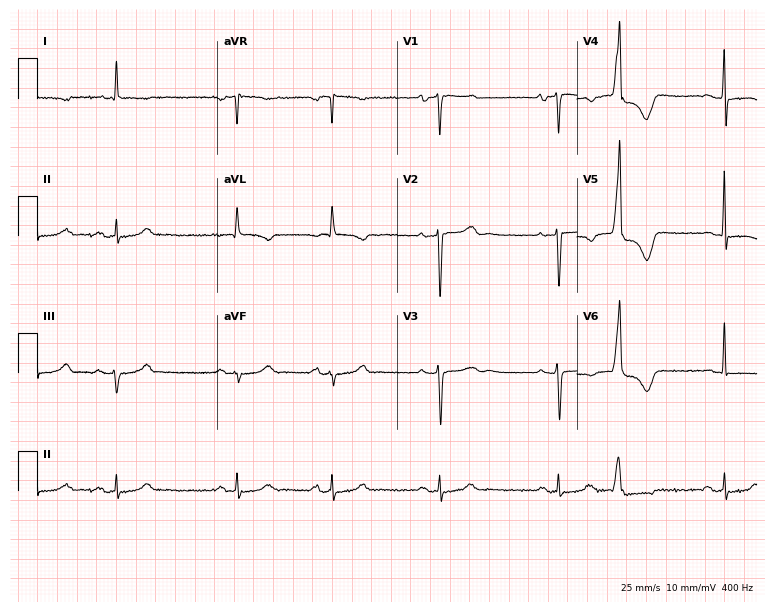
Resting 12-lead electrocardiogram (7.3-second recording at 400 Hz). Patient: a female, 72 years old. None of these six findings is recorded: first-degree AV block, right bundle branch block, left bundle branch block, sinus bradycardia, atrial fibrillation, sinus tachycardia. Findings outside these six are not listed.